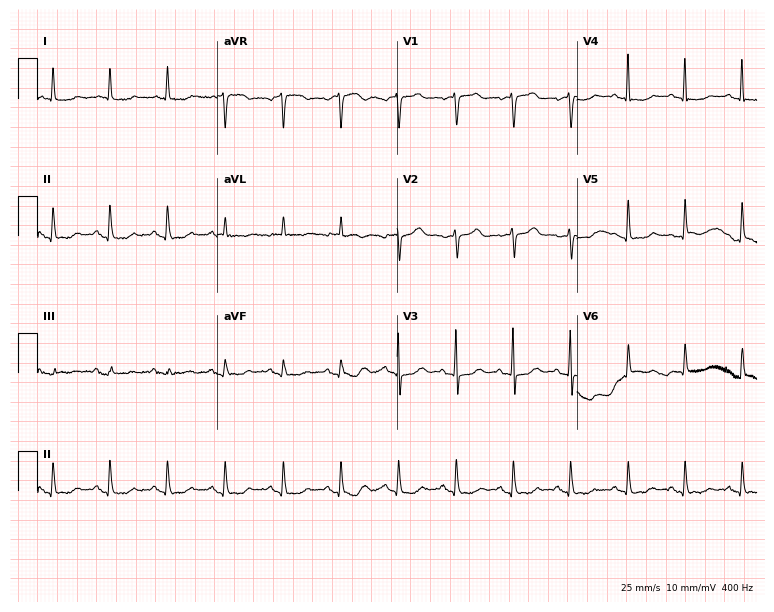
ECG (7.3-second recording at 400 Hz) — an 81-year-old woman. Screened for six findings — first-degree AV block, right bundle branch block, left bundle branch block, sinus bradycardia, atrial fibrillation, sinus tachycardia — none is recorded. Other findings, if any, are not listed.